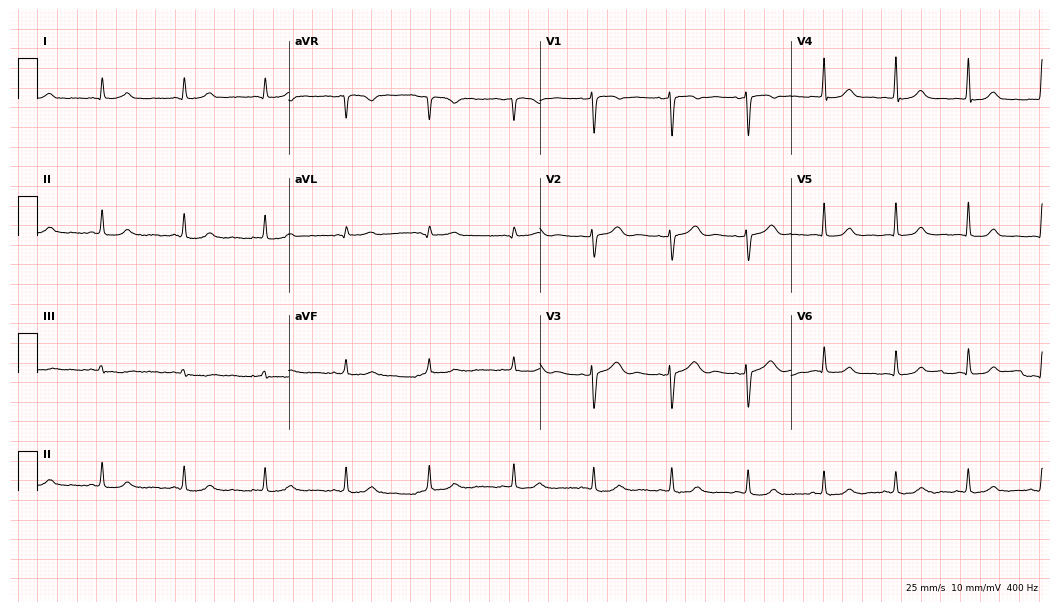
Standard 12-lead ECG recorded from a female patient, 40 years old (10.2-second recording at 400 Hz). None of these six findings is recorded: first-degree AV block, right bundle branch block, left bundle branch block, sinus bradycardia, atrial fibrillation, sinus tachycardia. Only these six findings were labelled.